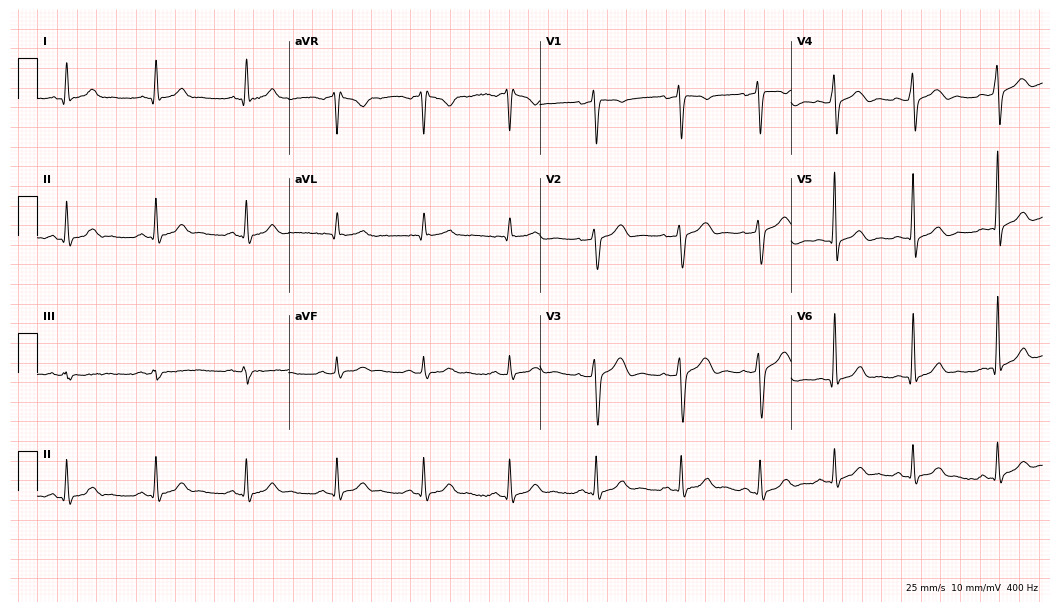
12-lead ECG (10.2-second recording at 400 Hz) from a man, 47 years old. Screened for six findings — first-degree AV block, right bundle branch block, left bundle branch block, sinus bradycardia, atrial fibrillation, sinus tachycardia — none is recorded. Only these six findings were labelled.